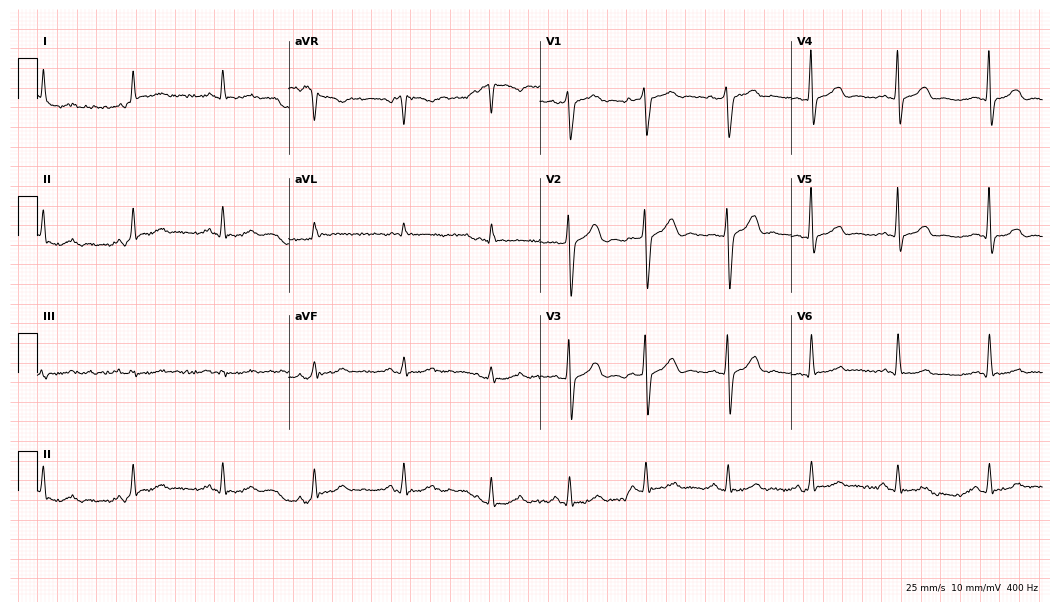
Electrocardiogram (10.2-second recording at 400 Hz), a 53-year-old man. Of the six screened findings (first-degree AV block, right bundle branch block, left bundle branch block, sinus bradycardia, atrial fibrillation, sinus tachycardia), none is recorded.